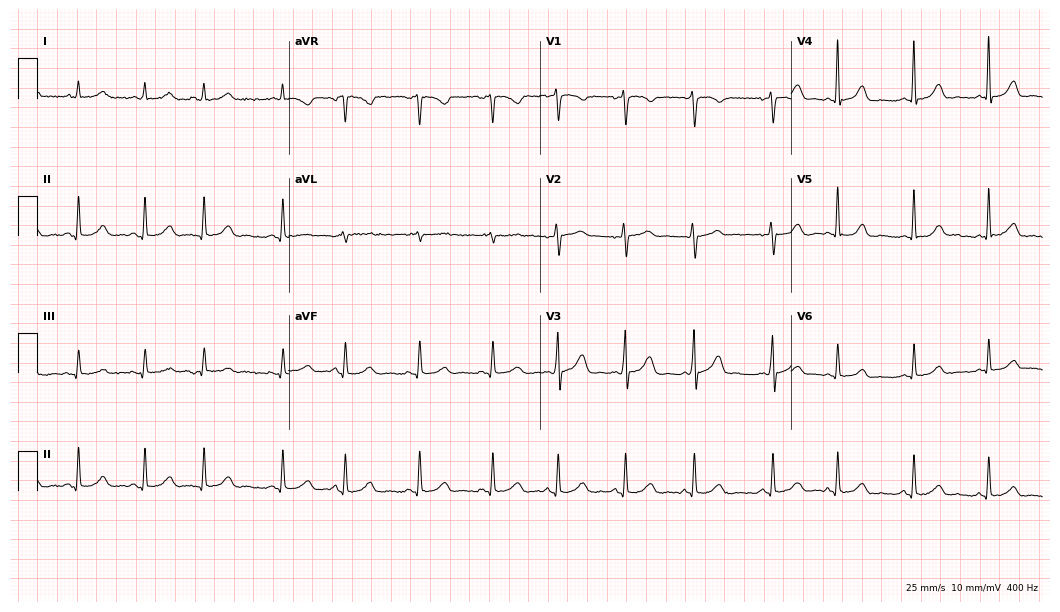
Electrocardiogram, a 61-year-old female. Of the six screened findings (first-degree AV block, right bundle branch block (RBBB), left bundle branch block (LBBB), sinus bradycardia, atrial fibrillation (AF), sinus tachycardia), none is recorded.